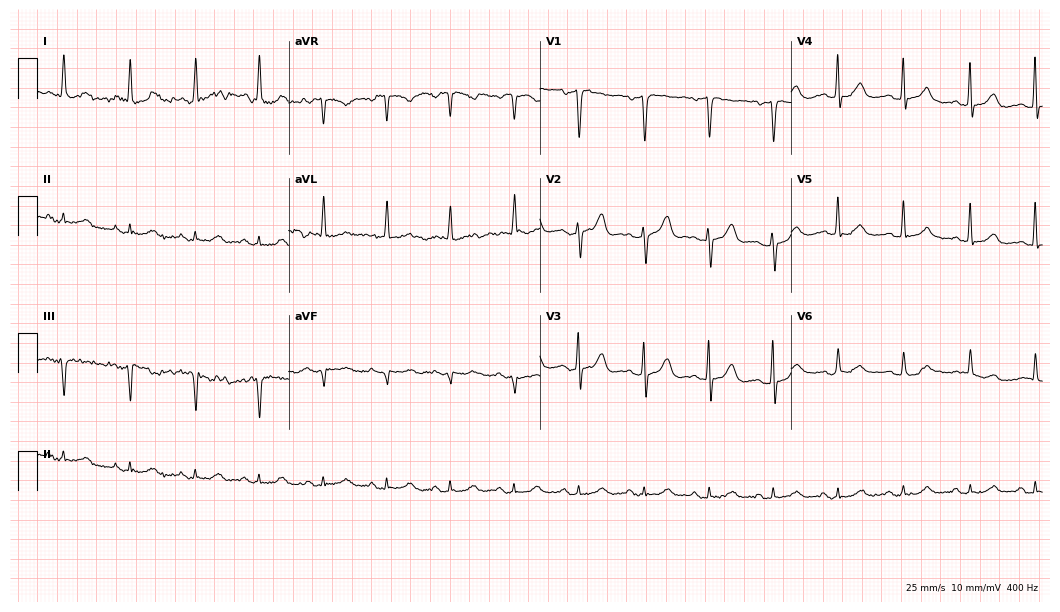
Standard 12-lead ECG recorded from an 81-year-old female patient. Read as a normal ECG.